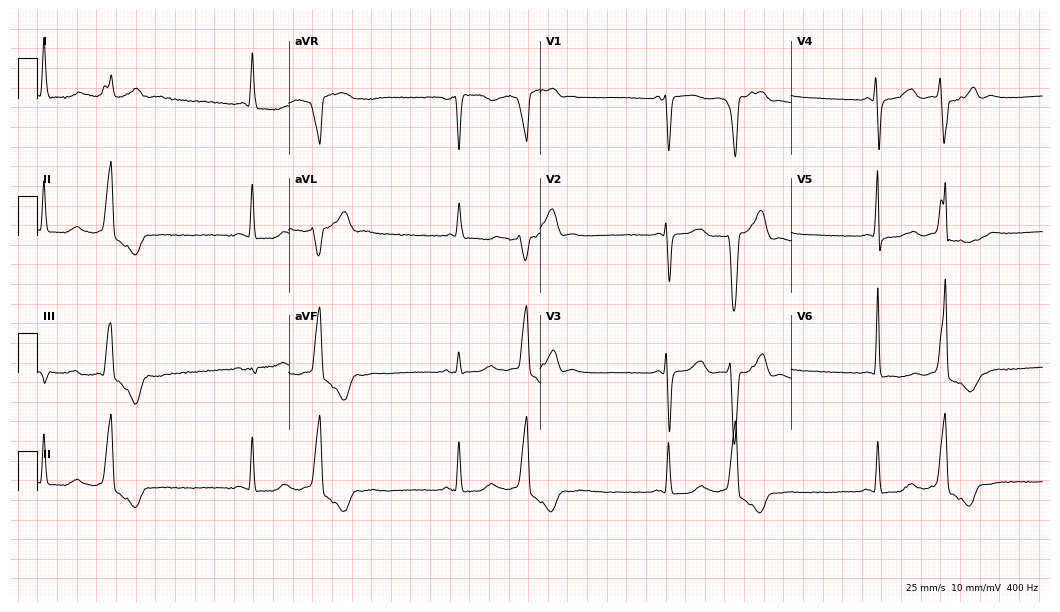
Electrocardiogram, a female patient, 69 years old. Of the six screened findings (first-degree AV block, right bundle branch block, left bundle branch block, sinus bradycardia, atrial fibrillation, sinus tachycardia), none is recorded. Findings outside these six are not listed.